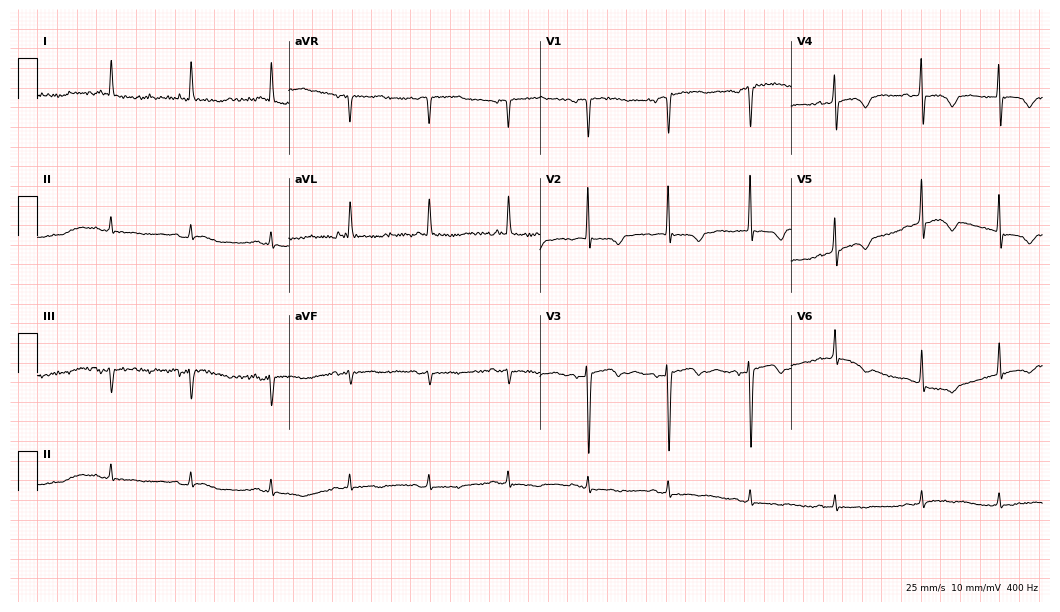
ECG (10.2-second recording at 400 Hz) — a female, 75 years old. Screened for six findings — first-degree AV block, right bundle branch block (RBBB), left bundle branch block (LBBB), sinus bradycardia, atrial fibrillation (AF), sinus tachycardia — none is recorded. Other findings, if any, are not listed.